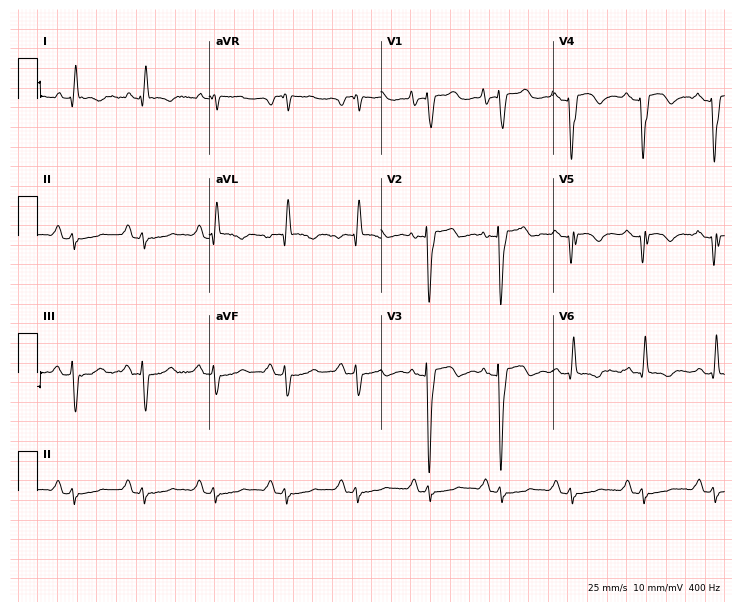
Resting 12-lead electrocardiogram (7-second recording at 400 Hz). Patient: a 38-year-old man. None of these six findings is recorded: first-degree AV block, right bundle branch block, left bundle branch block, sinus bradycardia, atrial fibrillation, sinus tachycardia.